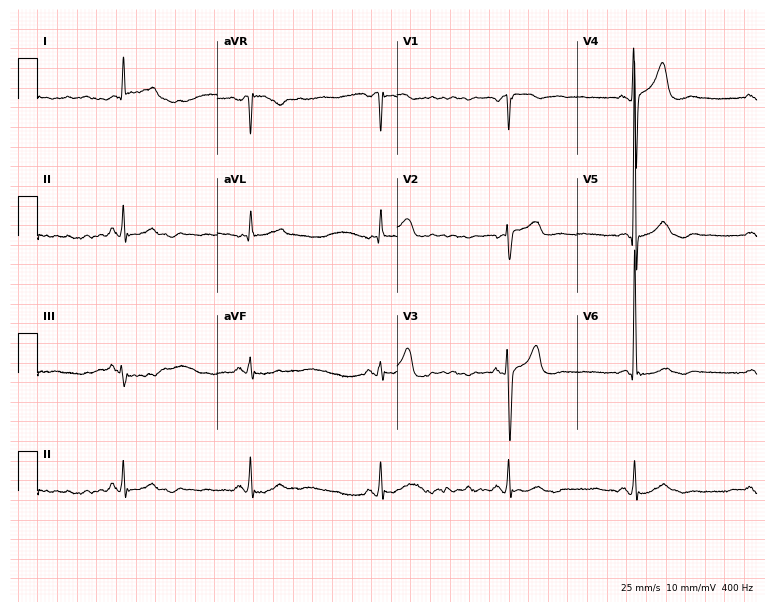
ECG — a male patient, 68 years old. Labelled as a normal ECG.